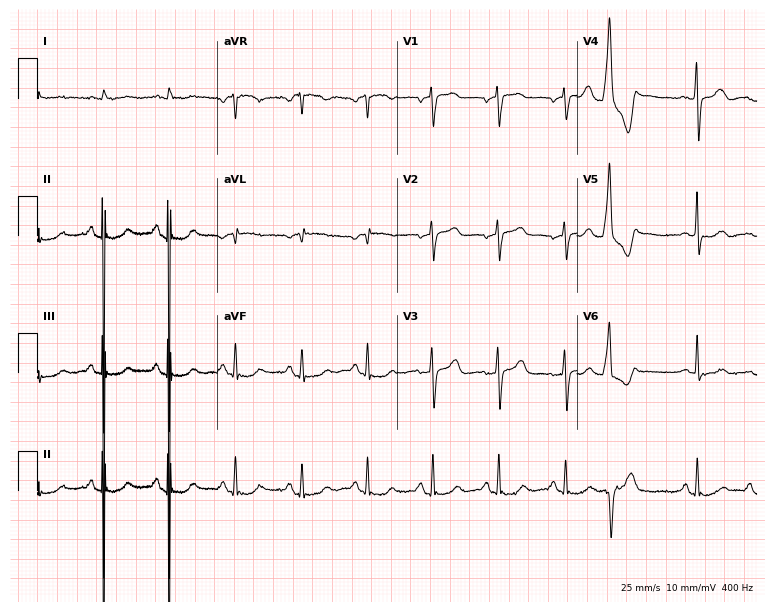
Electrocardiogram, a 76-year-old male patient. Of the six screened findings (first-degree AV block, right bundle branch block (RBBB), left bundle branch block (LBBB), sinus bradycardia, atrial fibrillation (AF), sinus tachycardia), none is recorded.